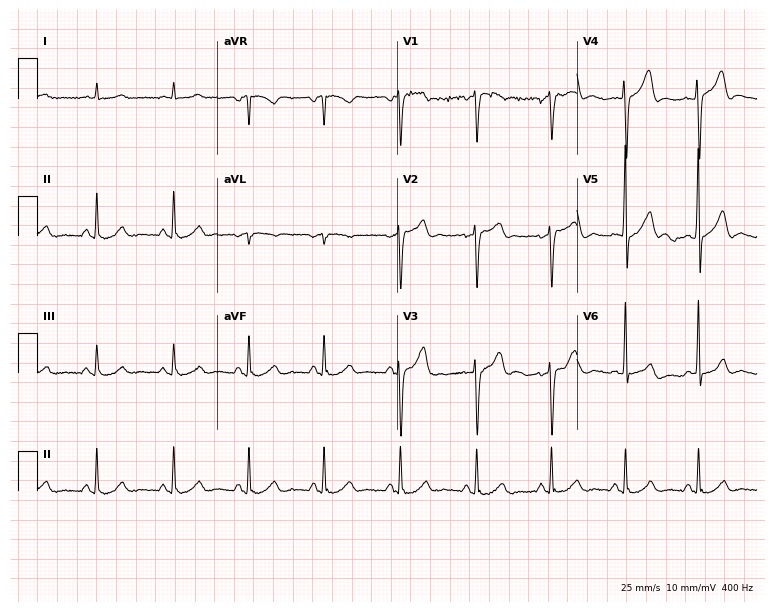
ECG — a male patient, 51 years old. Labelled as a normal ECG.